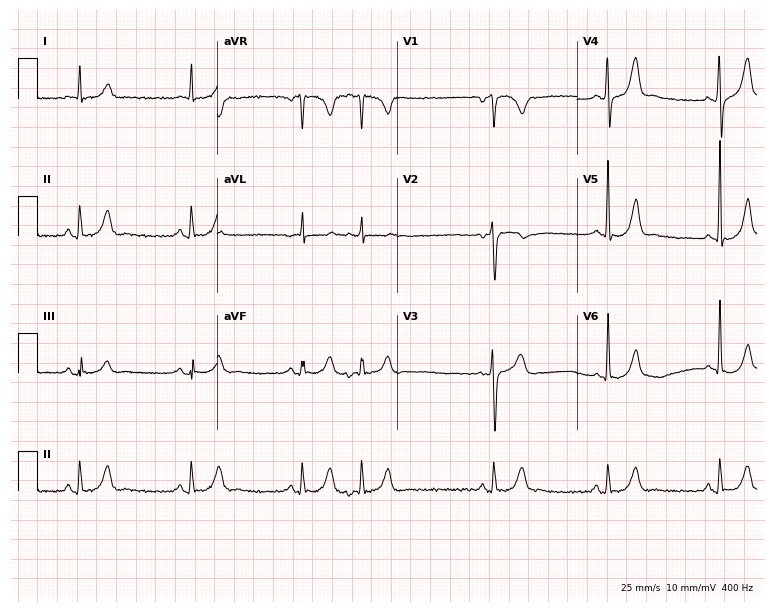
Standard 12-lead ECG recorded from a man, 64 years old. None of these six findings is recorded: first-degree AV block, right bundle branch block (RBBB), left bundle branch block (LBBB), sinus bradycardia, atrial fibrillation (AF), sinus tachycardia.